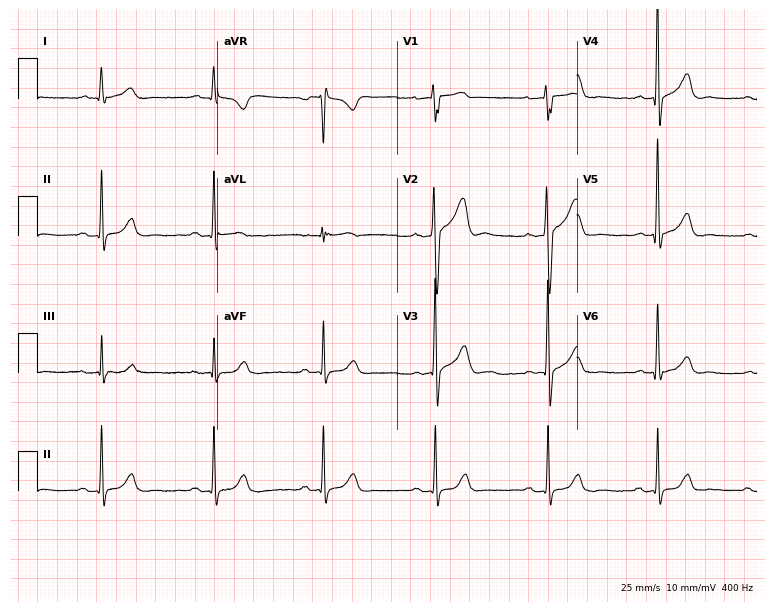
Resting 12-lead electrocardiogram (7.3-second recording at 400 Hz). Patient: a man, 69 years old. None of these six findings is recorded: first-degree AV block, right bundle branch block, left bundle branch block, sinus bradycardia, atrial fibrillation, sinus tachycardia. Only these six findings were labelled.